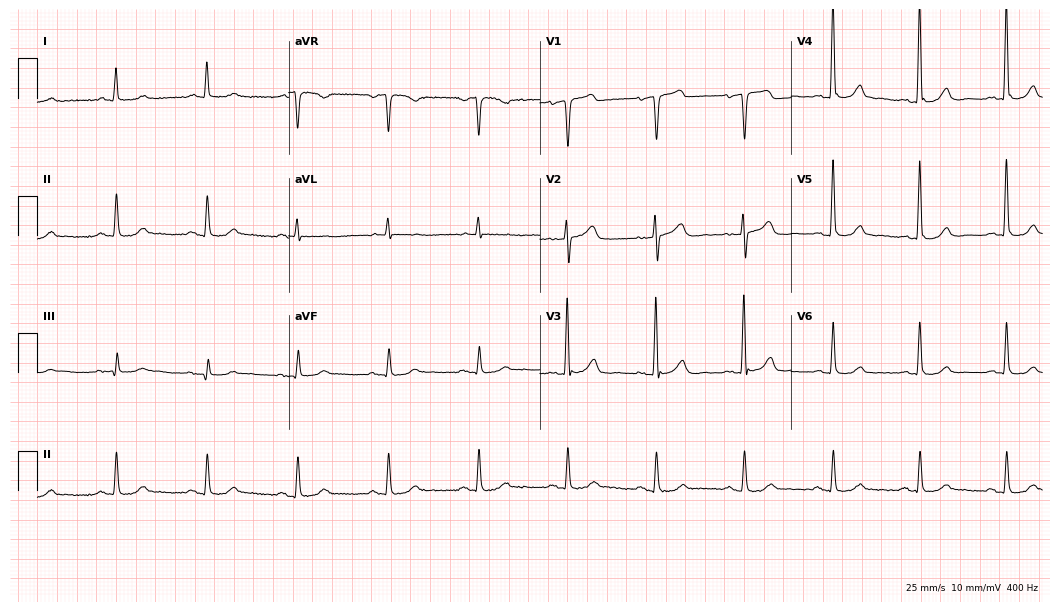
Electrocardiogram (10.2-second recording at 400 Hz), a male, 76 years old. Overall reading on record: normal ECG.